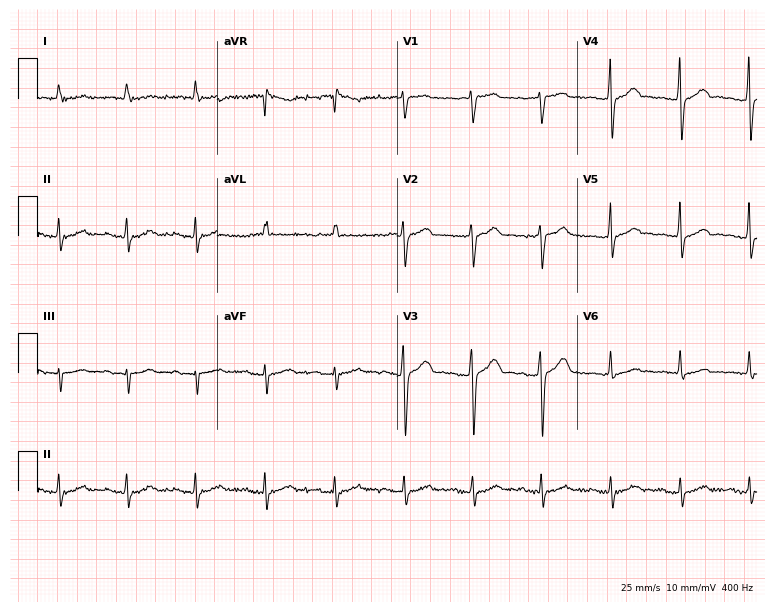
Resting 12-lead electrocardiogram (7.3-second recording at 400 Hz). Patient: a 79-year-old man. None of these six findings is recorded: first-degree AV block, right bundle branch block, left bundle branch block, sinus bradycardia, atrial fibrillation, sinus tachycardia.